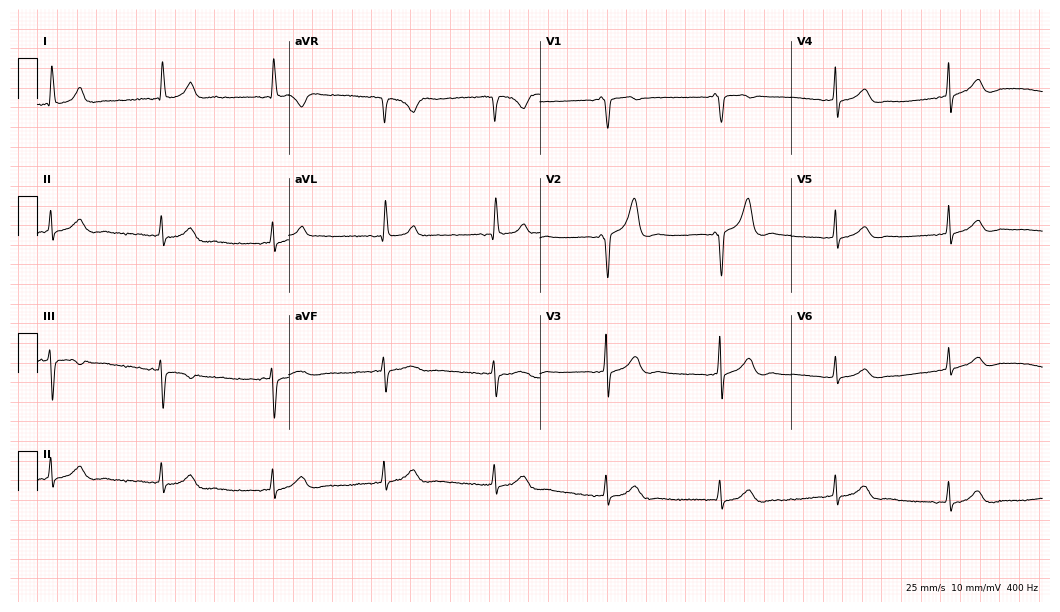
12-lead ECG (10.2-second recording at 400 Hz) from an 83-year-old female patient. Screened for six findings — first-degree AV block, right bundle branch block (RBBB), left bundle branch block (LBBB), sinus bradycardia, atrial fibrillation (AF), sinus tachycardia — none is recorded. Findings outside these six are not listed.